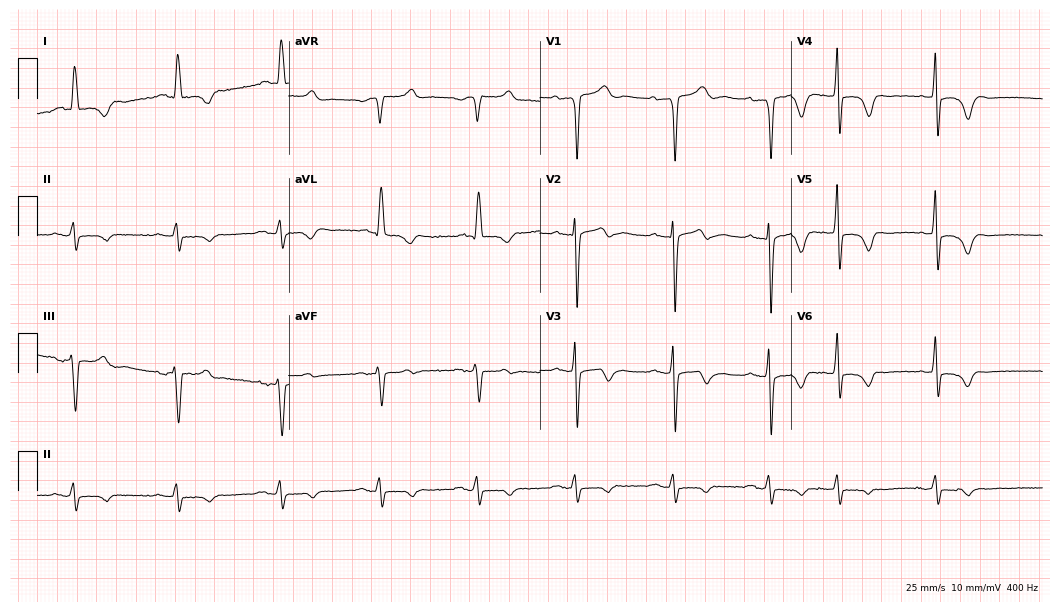
Standard 12-lead ECG recorded from an 85-year-old man. None of these six findings is recorded: first-degree AV block, right bundle branch block, left bundle branch block, sinus bradycardia, atrial fibrillation, sinus tachycardia.